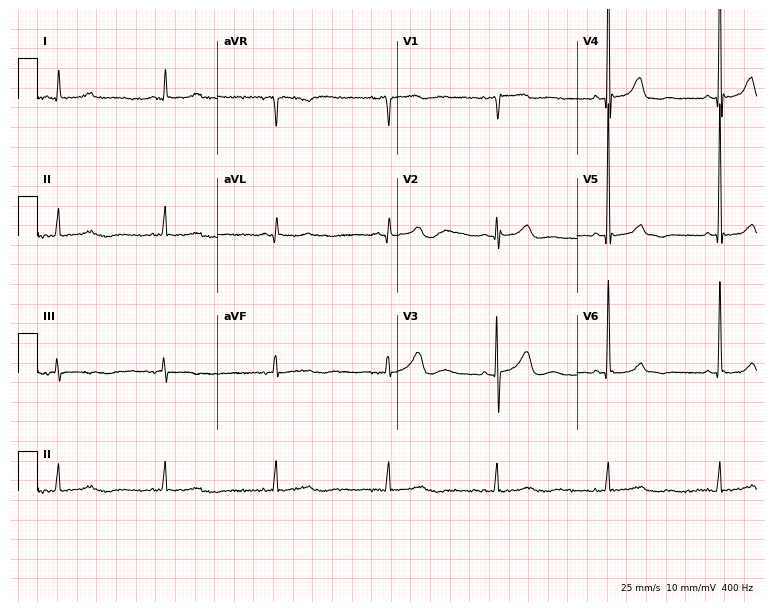
Resting 12-lead electrocardiogram. Patient: a female, 74 years old. None of these six findings is recorded: first-degree AV block, right bundle branch block (RBBB), left bundle branch block (LBBB), sinus bradycardia, atrial fibrillation (AF), sinus tachycardia. Other findings, if any, are not listed.